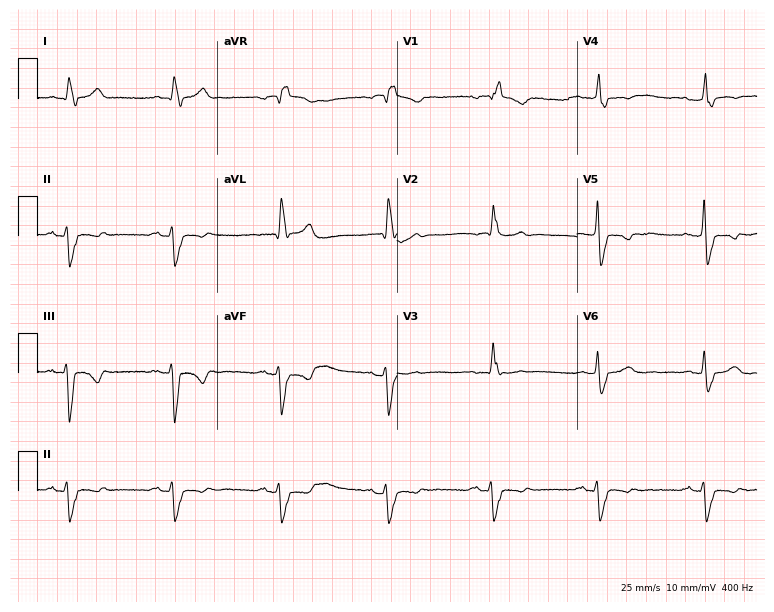
Standard 12-lead ECG recorded from a 71-year-old woman (7.3-second recording at 400 Hz). The tracing shows right bundle branch block (RBBB).